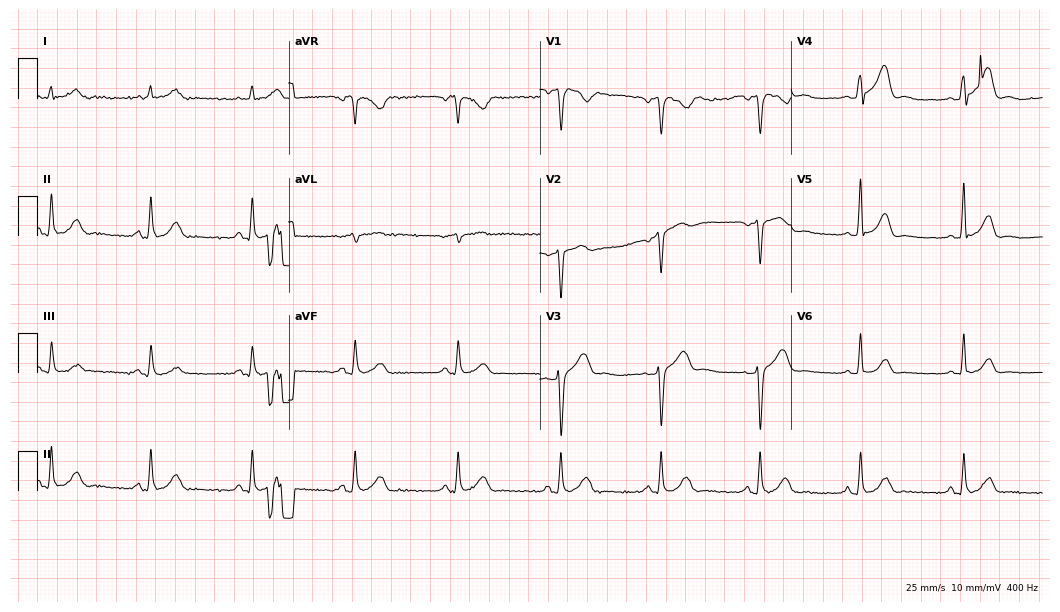
ECG (10.2-second recording at 400 Hz) — a male patient, 43 years old. Screened for six findings — first-degree AV block, right bundle branch block (RBBB), left bundle branch block (LBBB), sinus bradycardia, atrial fibrillation (AF), sinus tachycardia — none is recorded. Findings outside these six are not listed.